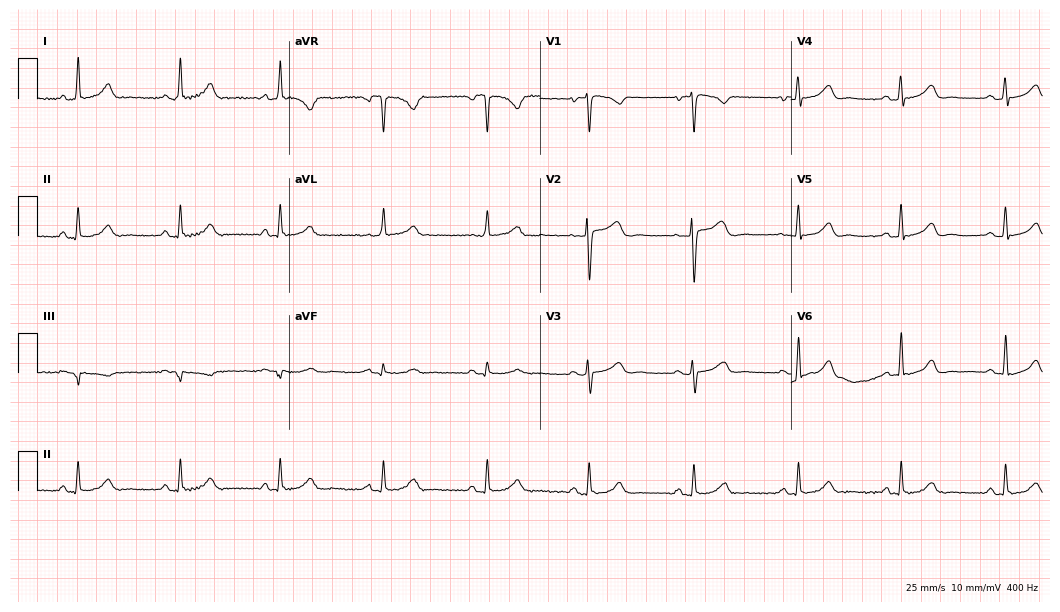
12-lead ECG from a 51-year-old female patient (10.2-second recording at 400 Hz). No first-degree AV block, right bundle branch block (RBBB), left bundle branch block (LBBB), sinus bradycardia, atrial fibrillation (AF) or sinus tachycardia recorded for this tracing.